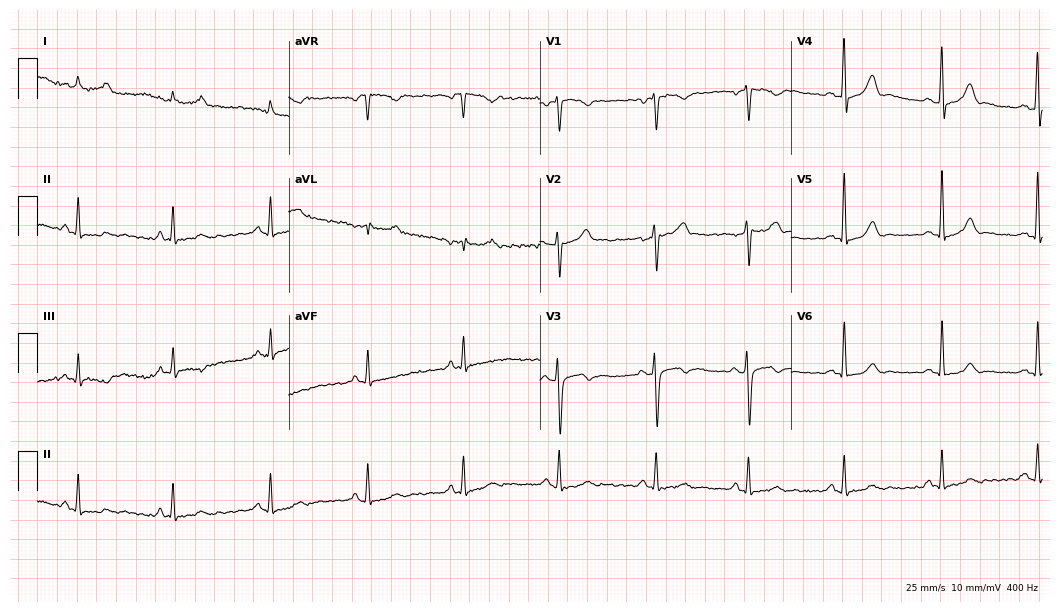
Standard 12-lead ECG recorded from a 38-year-old male patient (10.2-second recording at 400 Hz). Read as a normal ECG.